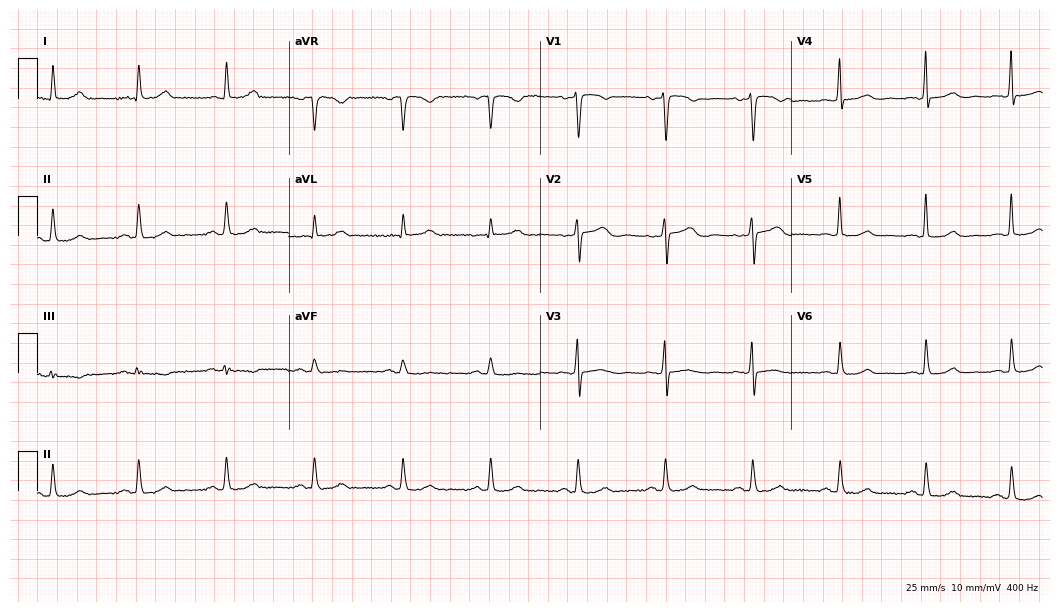
Standard 12-lead ECG recorded from a woman, 52 years old. Read as a normal ECG.